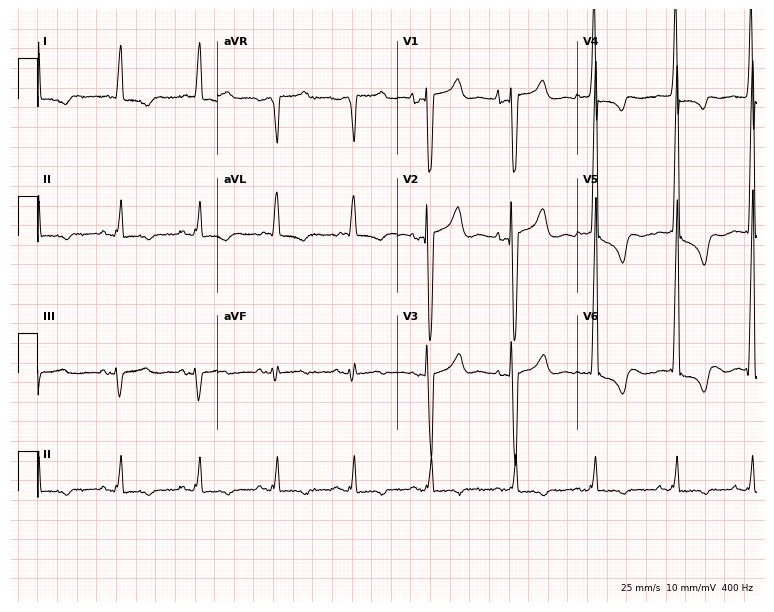
12-lead ECG from an 82-year-old female patient. Screened for six findings — first-degree AV block, right bundle branch block, left bundle branch block, sinus bradycardia, atrial fibrillation, sinus tachycardia — none is recorded.